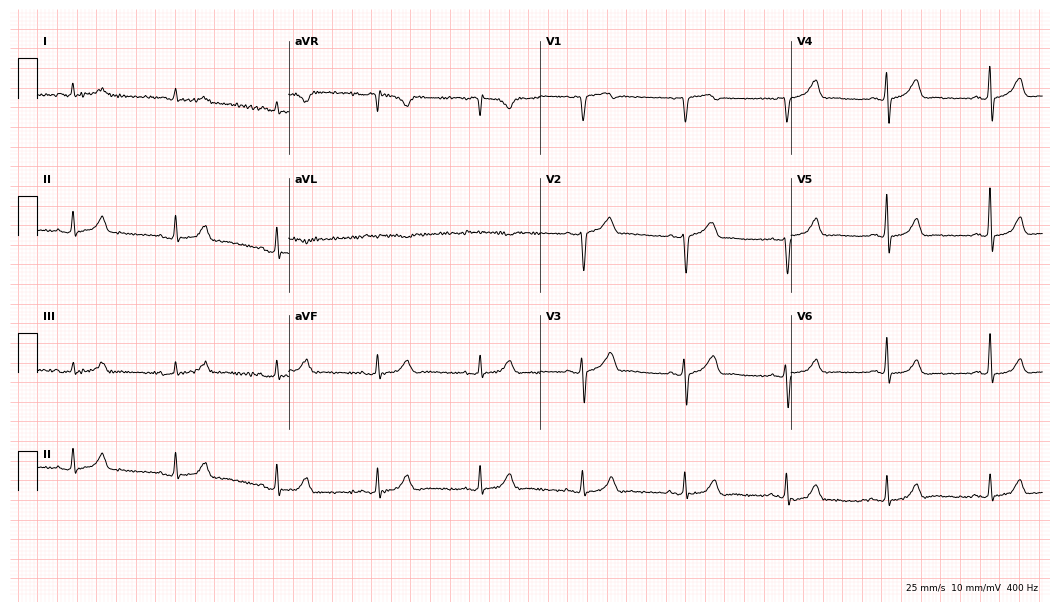
12-lead ECG from a 62-year-old male patient. Labelled as a normal ECG.